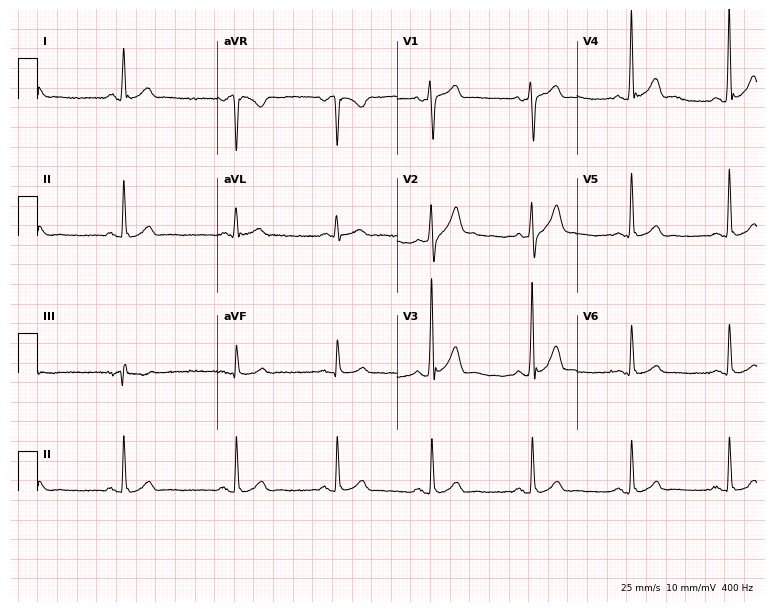
Standard 12-lead ECG recorded from a 40-year-old man. None of these six findings is recorded: first-degree AV block, right bundle branch block (RBBB), left bundle branch block (LBBB), sinus bradycardia, atrial fibrillation (AF), sinus tachycardia. Findings outside these six are not listed.